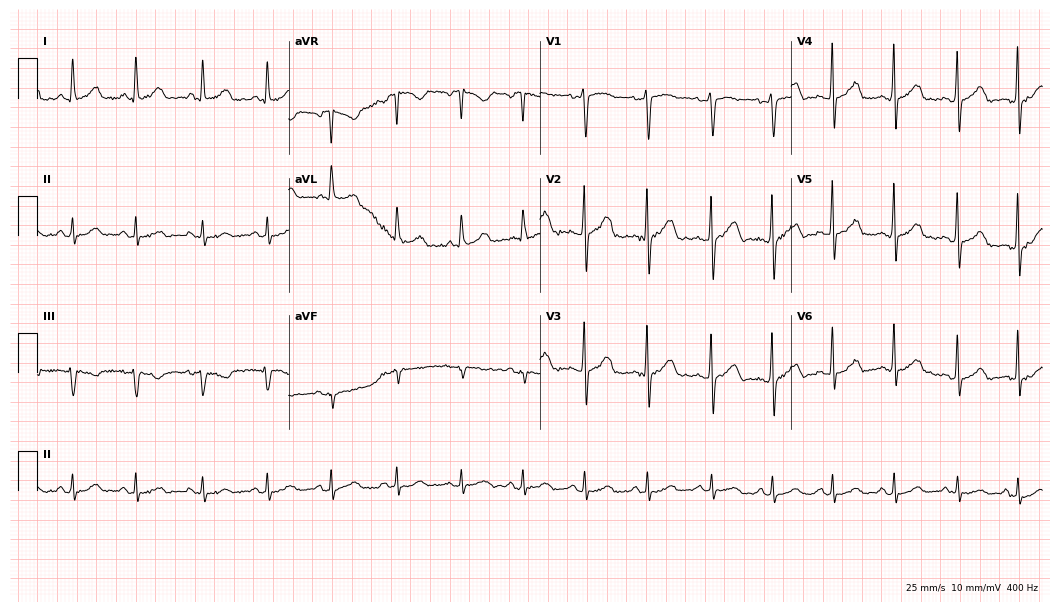
Standard 12-lead ECG recorded from a 41-year-old female (10.2-second recording at 400 Hz). Read as a normal ECG.